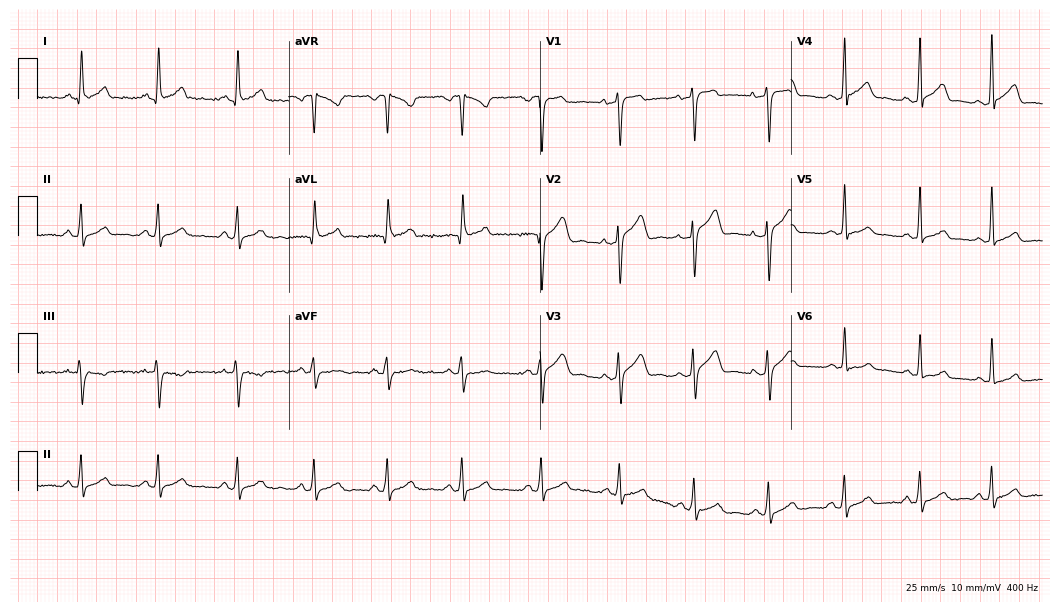
Standard 12-lead ECG recorded from a 29-year-old male. Read as a normal ECG.